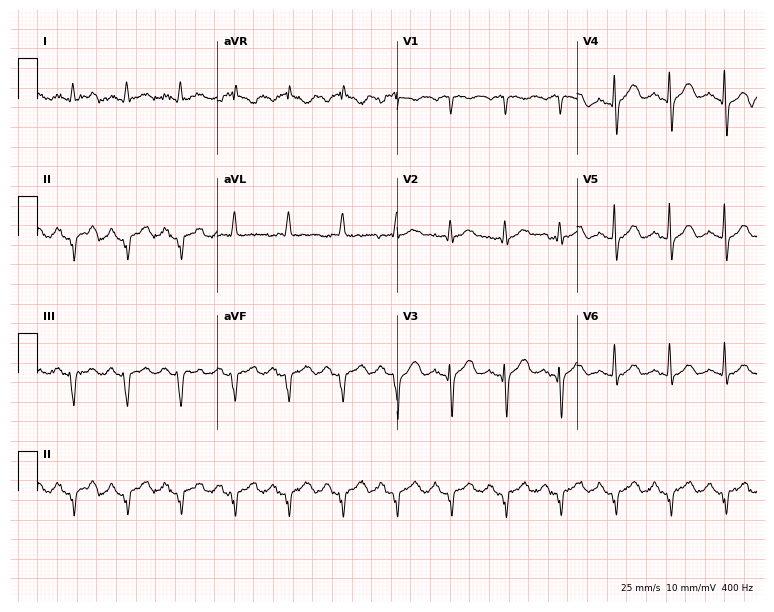
Standard 12-lead ECG recorded from a 67-year-old male (7.3-second recording at 400 Hz). None of these six findings is recorded: first-degree AV block, right bundle branch block, left bundle branch block, sinus bradycardia, atrial fibrillation, sinus tachycardia. Only these six findings were labelled.